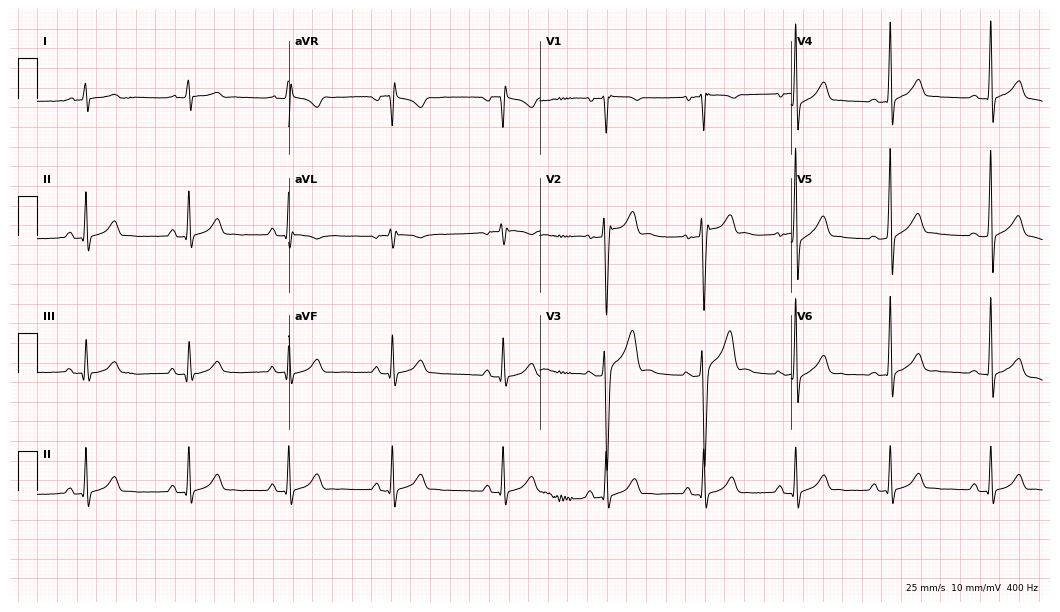
Standard 12-lead ECG recorded from a male patient, 17 years old (10.2-second recording at 400 Hz). Read as a normal ECG.